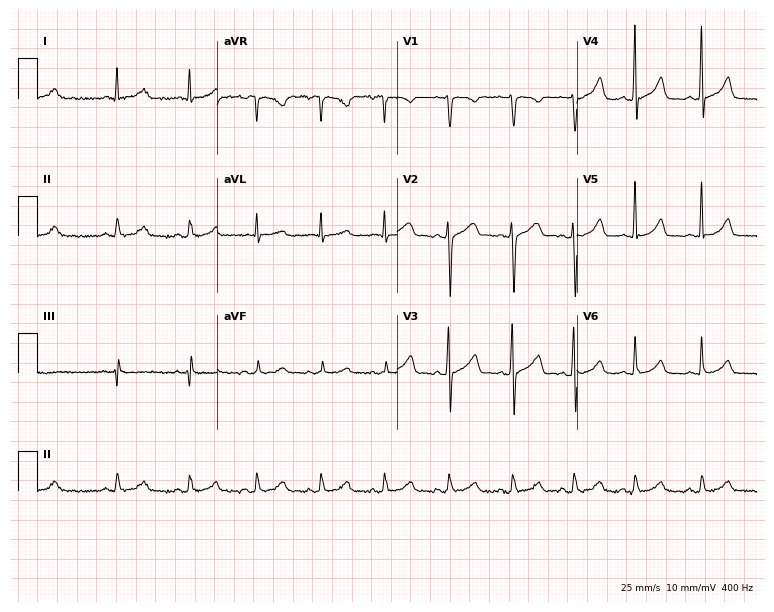
Electrocardiogram (7.3-second recording at 400 Hz), a woman, 34 years old. Overall reading on record: normal ECG.